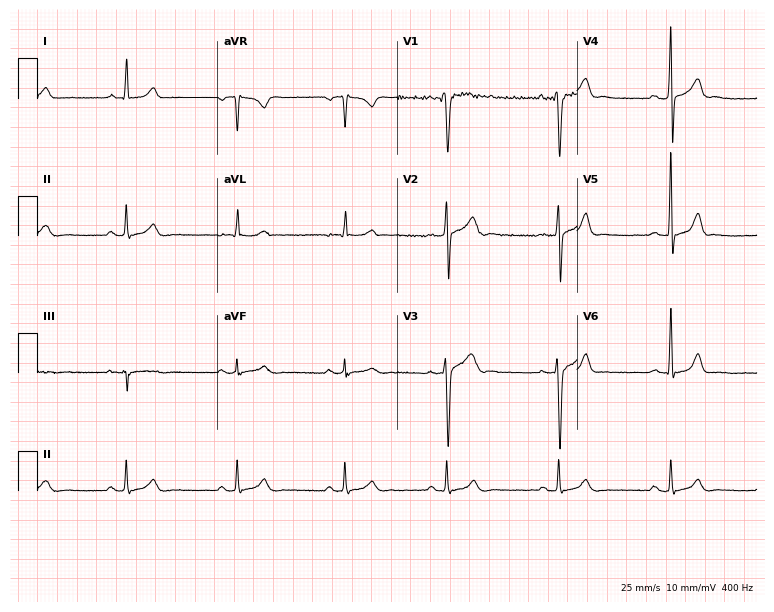
Standard 12-lead ECG recorded from a 25-year-old male patient. Read as a normal ECG.